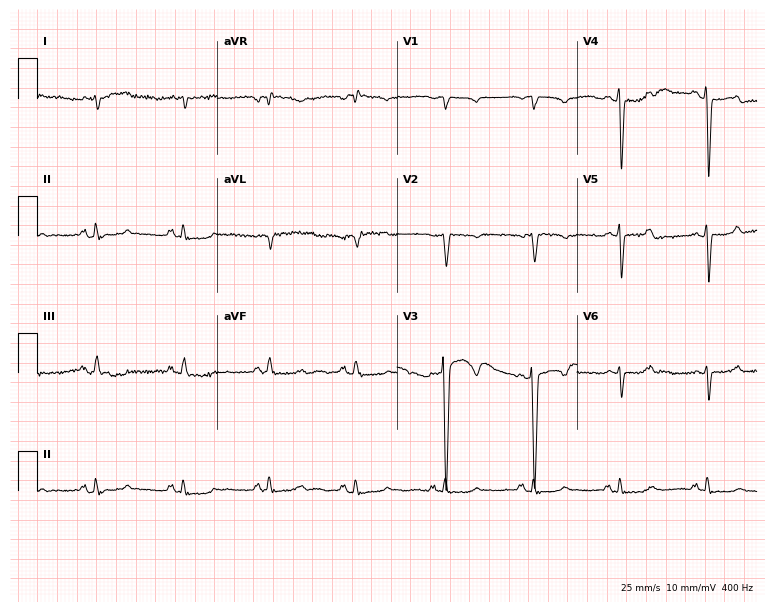
ECG — a male patient, 80 years old. Screened for six findings — first-degree AV block, right bundle branch block (RBBB), left bundle branch block (LBBB), sinus bradycardia, atrial fibrillation (AF), sinus tachycardia — none is recorded. Findings outside these six are not listed.